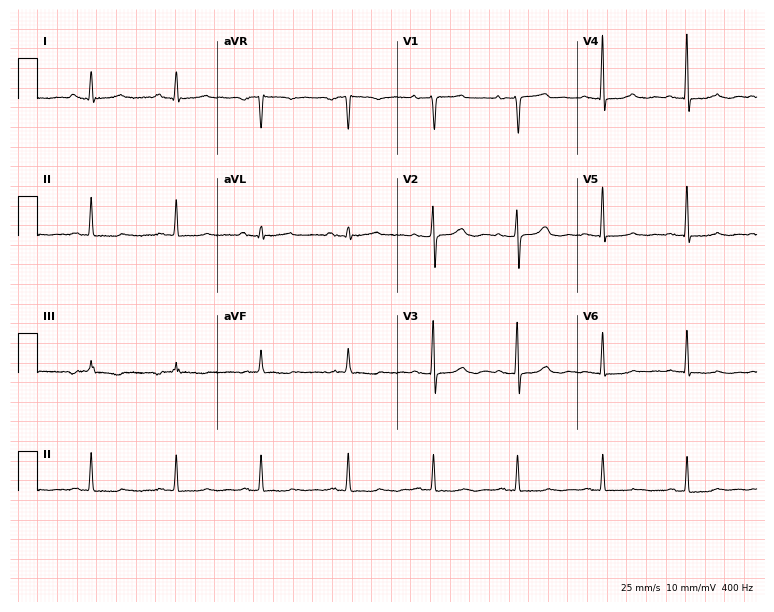
ECG (7.3-second recording at 400 Hz) — a female patient, 80 years old. Screened for six findings — first-degree AV block, right bundle branch block, left bundle branch block, sinus bradycardia, atrial fibrillation, sinus tachycardia — none is recorded.